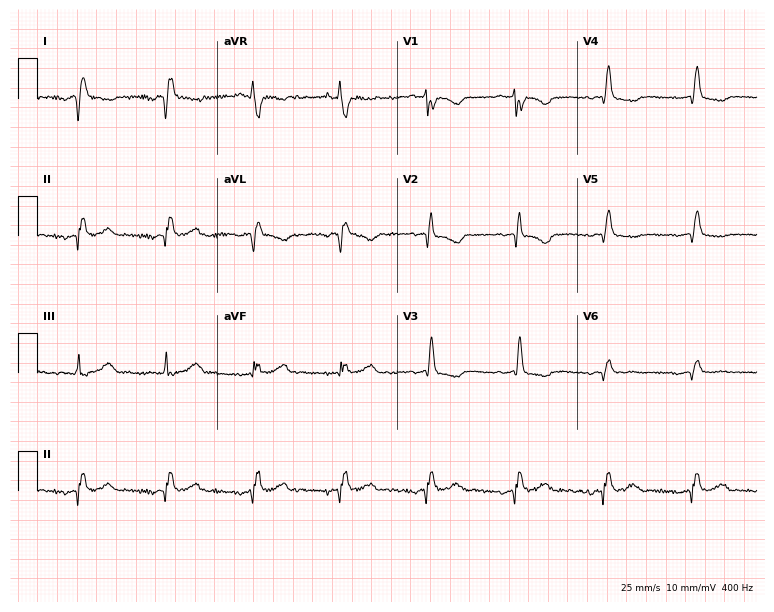
ECG (7.3-second recording at 400 Hz) — a woman, 62 years old. Screened for six findings — first-degree AV block, right bundle branch block (RBBB), left bundle branch block (LBBB), sinus bradycardia, atrial fibrillation (AF), sinus tachycardia — none is recorded.